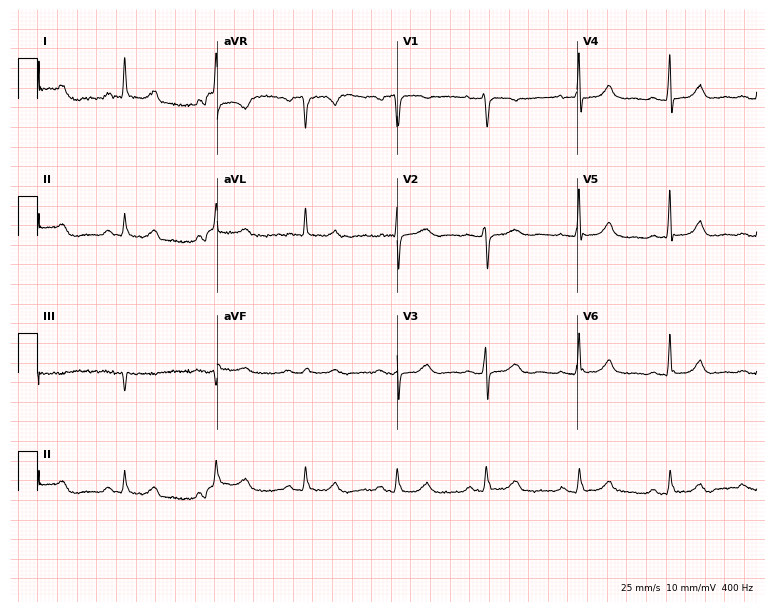
Standard 12-lead ECG recorded from a 71-year-old woman. Read as a normal ECG.